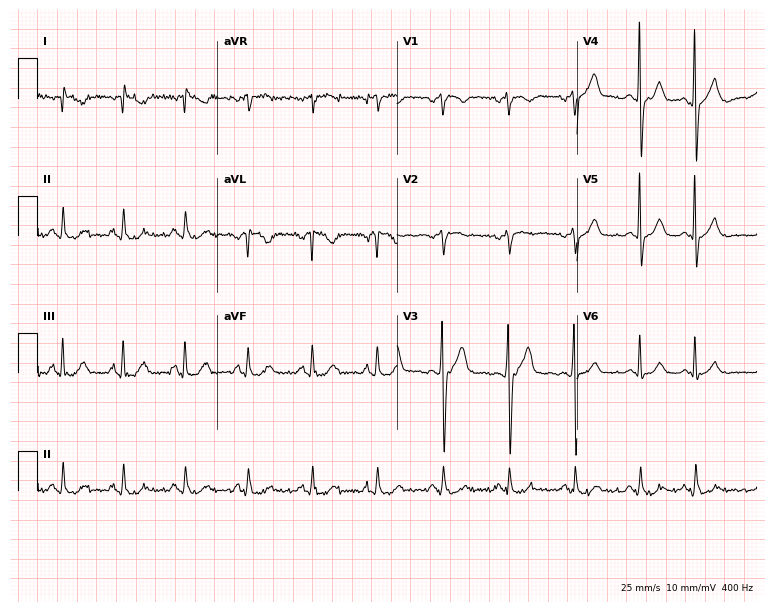
12-lead ECG from a man, 55 years old. Screened for six findings — first-degree AV block, right bundle branch block, left bundle branch block, sinus bradycardia, atrial fibrillation, sinus tachycardia — none is recorded.